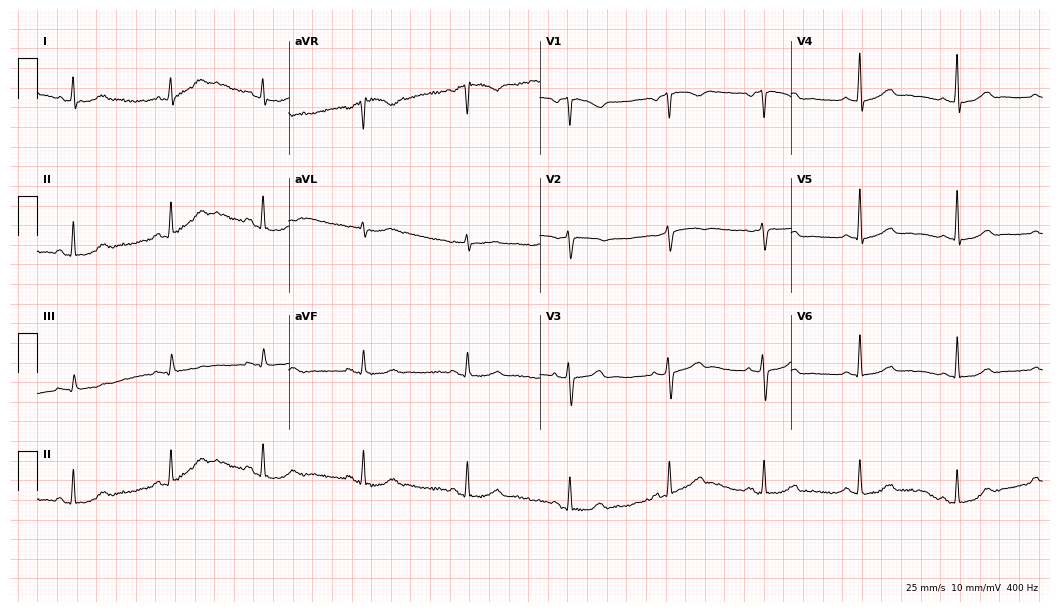
Resting 12-lead electrocardiogram (10.2-second recording at 400 Hz). Patient: a 45-year-old woman. Read as a normal ECG.